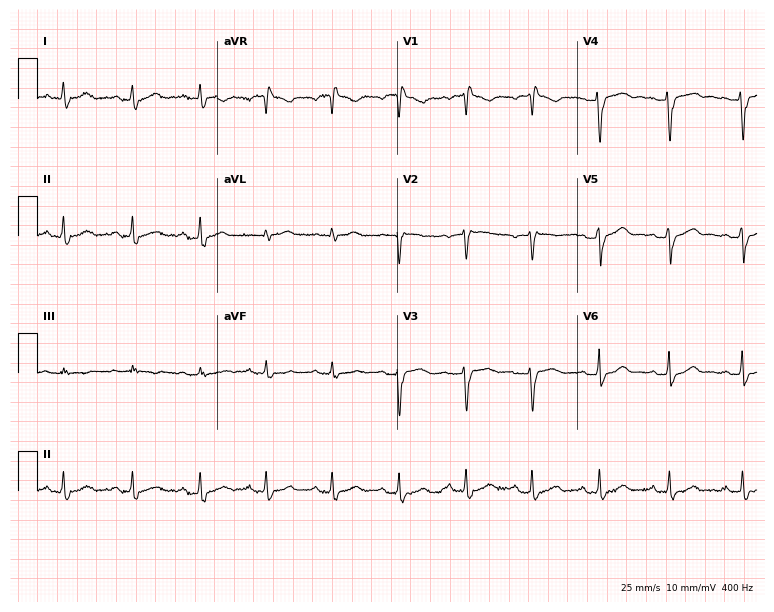
Resting 12-lead electrocardiogram. Patient: a woman, 36 years old. None of these six findings is recorded: first-degree AV block, right bundle branch block (RBBB), left bundle branch block (LBBB), sinus bradycardia, atrial fibrillation (AF), sinus tachycardia. Findings outside these six are not listed.